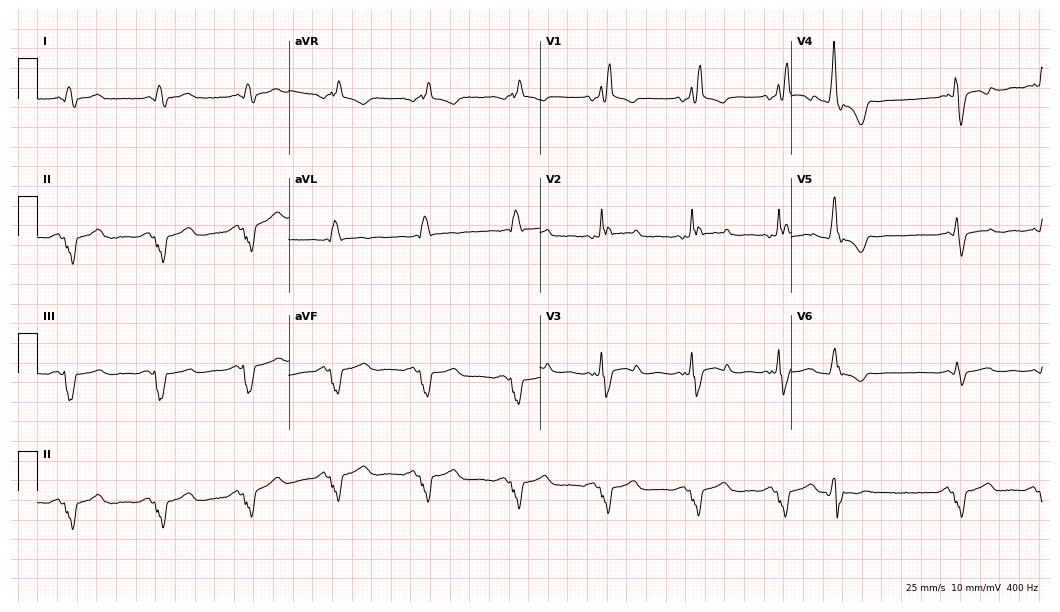
Standard 12-lead ECG recorded from a male patient, 65 years old. The tracing shows right bundle branch block.